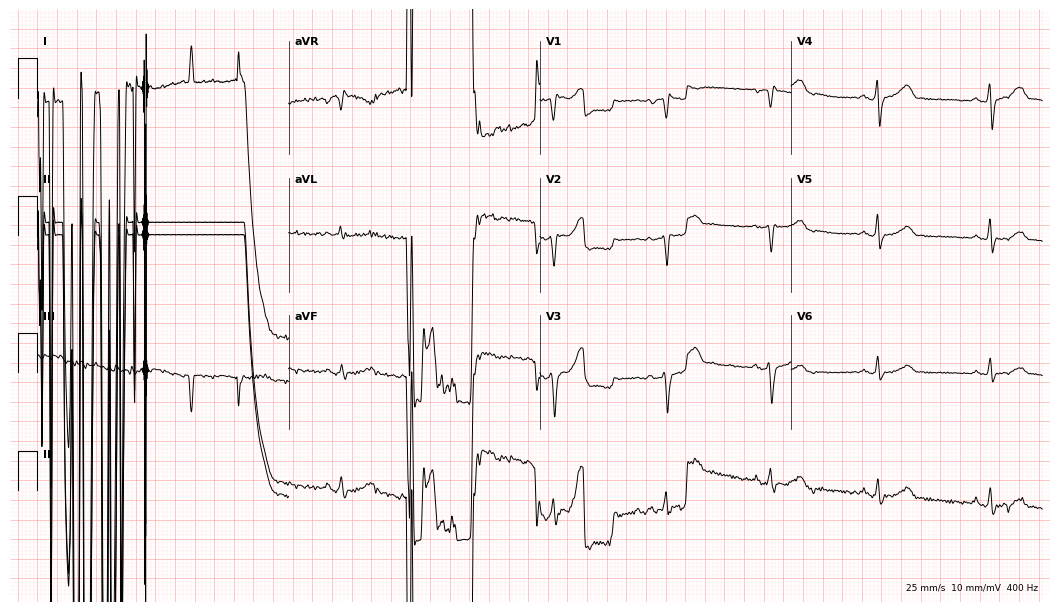
12-lead ECG from a 61-year-old female patient (10.2-second recording at 400 Hz). No first-degree AV block, right bundle branch block (RBBB), left bundle branch block (LBBB), sinus bradycardia, atrial fibrillation (AF) or sinus tachycardia recorded for this tracing.